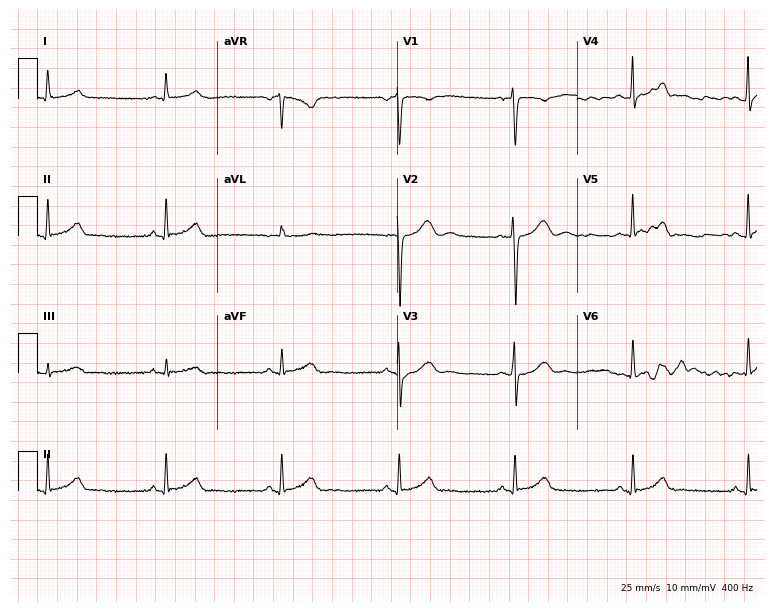
12-lead ECG from a female, 44 years old. Recorded interpretation: within normal limits.